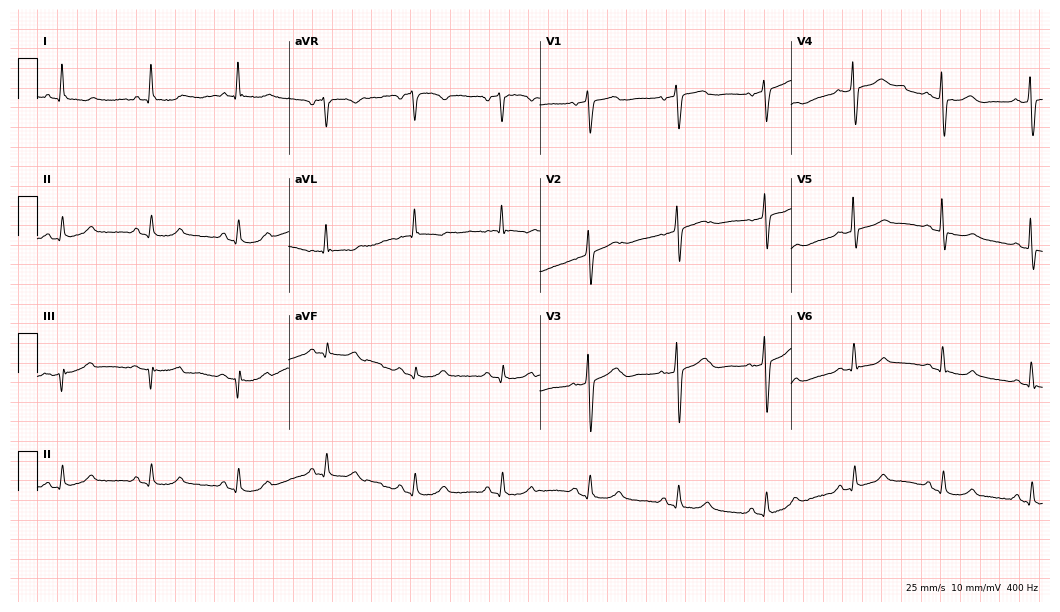
Electrocardiogram (10.2-second recording at 400 Hz), a female patient, 67 years old. Of the six screened findings (first-degree AV block, right bundle branch block (RBBB), left bundle branch block (LBBB), sinus bradycardia, atrial fibrillation (AF), sinus tachycardia), none is recorded.